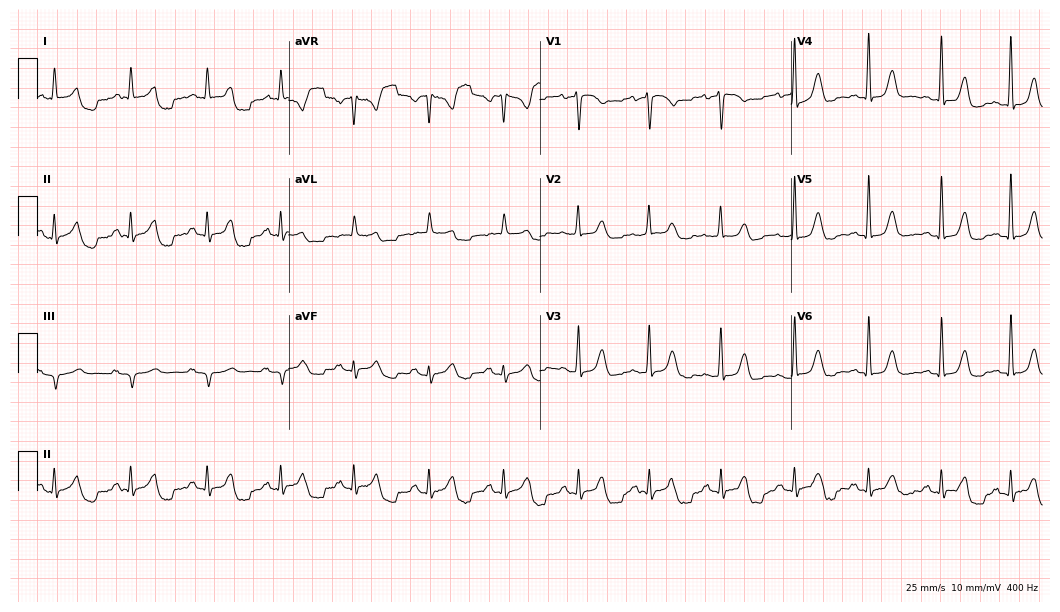
ECG — a 47-year-old female. Labelled as a normal ECG.